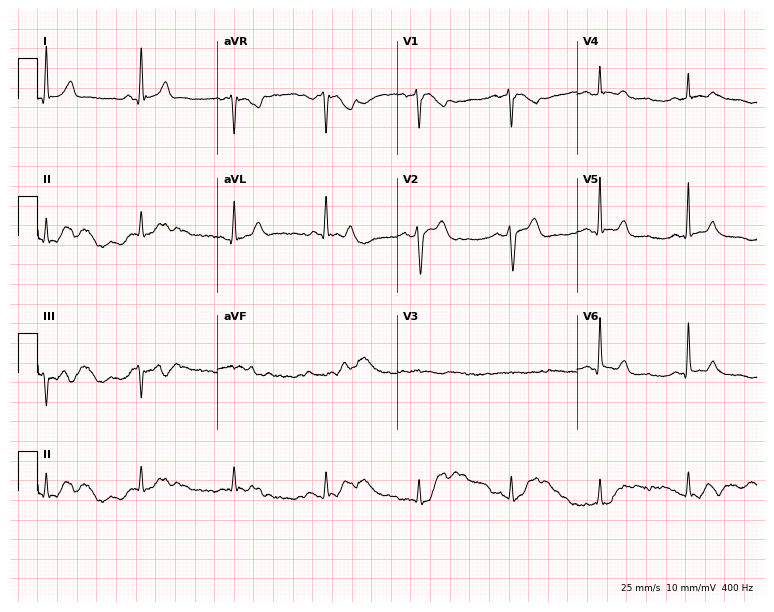
12-lead ECG (7.3-second recording at 400 Hz) from a 45-year-old man. Screened for six findings — first-degree AV block, right bundle branch block, left bundle branch block, sinus bradycardia, atrial fibrillation, sinus tachycardia — none is recorded. Other findings, if any, are not listed.